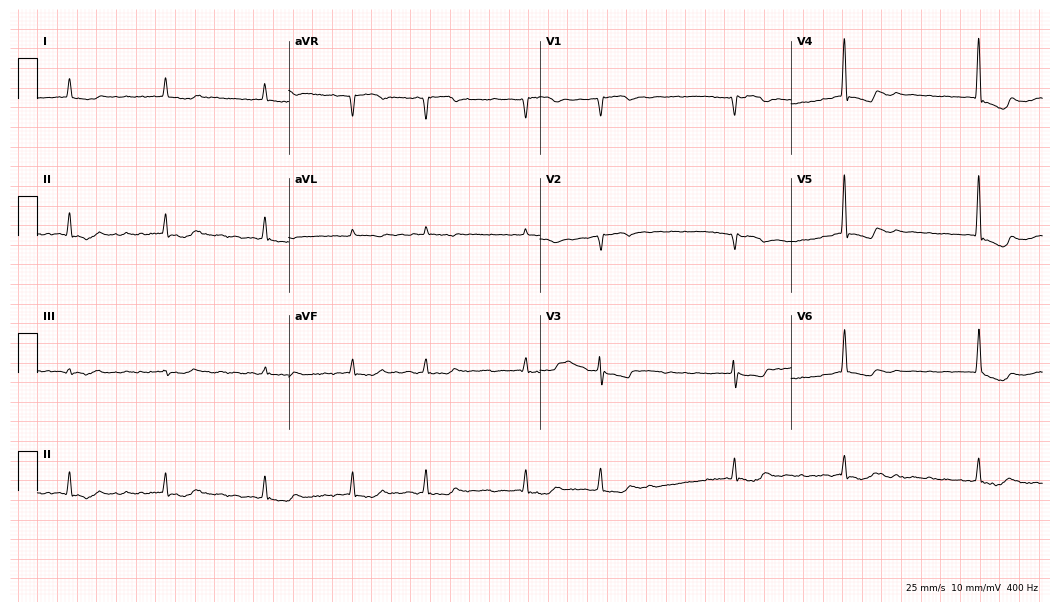
12-lead ECG from an 83-year-old female patient (10.2-second recording at 400 Hz). Shows atrial fibrillation (AF).